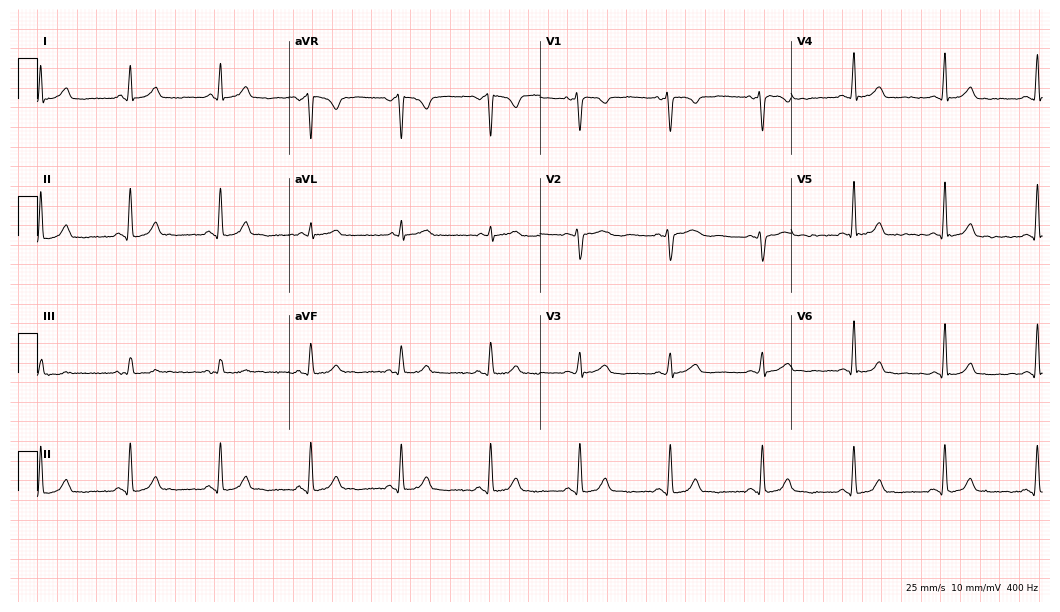
ECG — a female, 51 years old. Screened for six findings — first-degree AV block, right bundle branch block (RBBB), left bundle branch block (LBBB), sinus bradycardia, atrial fibrillation (AF), sinus tachycardia — none is recorded.